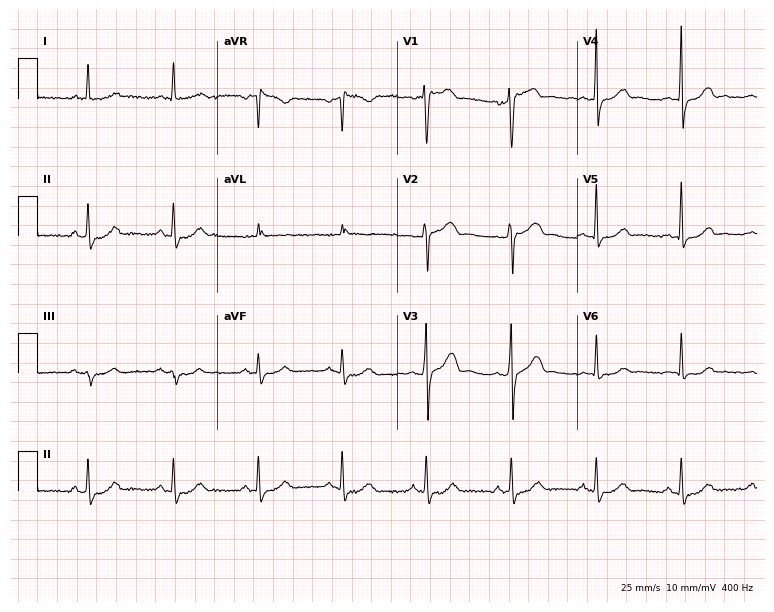
Resting 12-lead electrocardiogram (7.3-second recording at 400 Hz). Patient: a male, 54 years old. None of these six findings is recorded: first-degree AV block, right bundle branch block, left bundle branch block, sinus bradycardia, atrial fibrillation, sinus tachycardia.